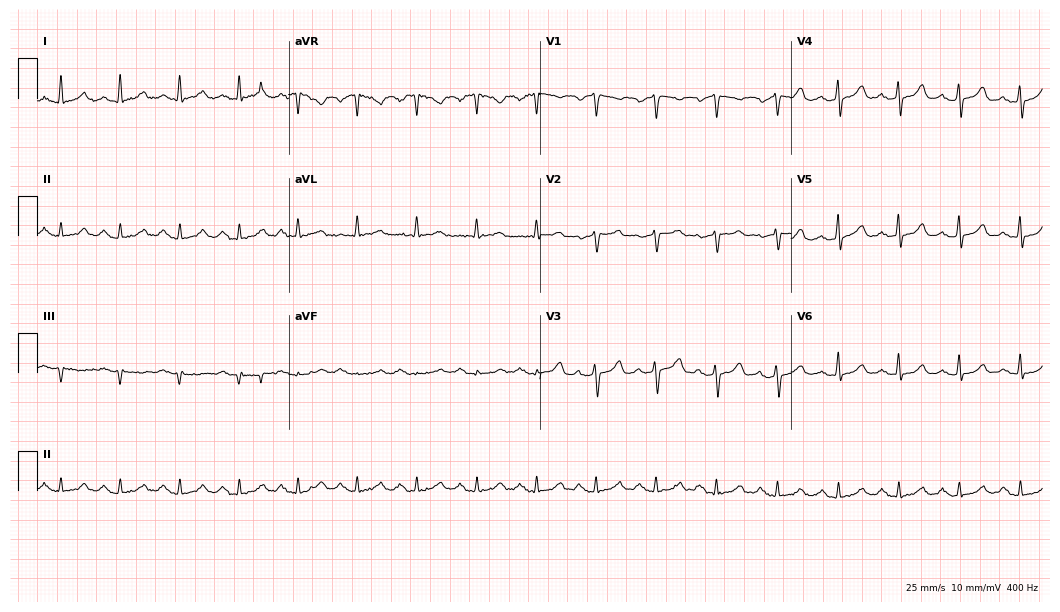
12-lead ECG from a woman, 66 years old. Screened for six findings — first-degree AV block, right bundle branch block (RBBB), left bundle branch block (LBBB), sinus bradycardia, atrial fibrillation (AF), sinus tachycardia — none is recorded. Only these six findings were labelled.